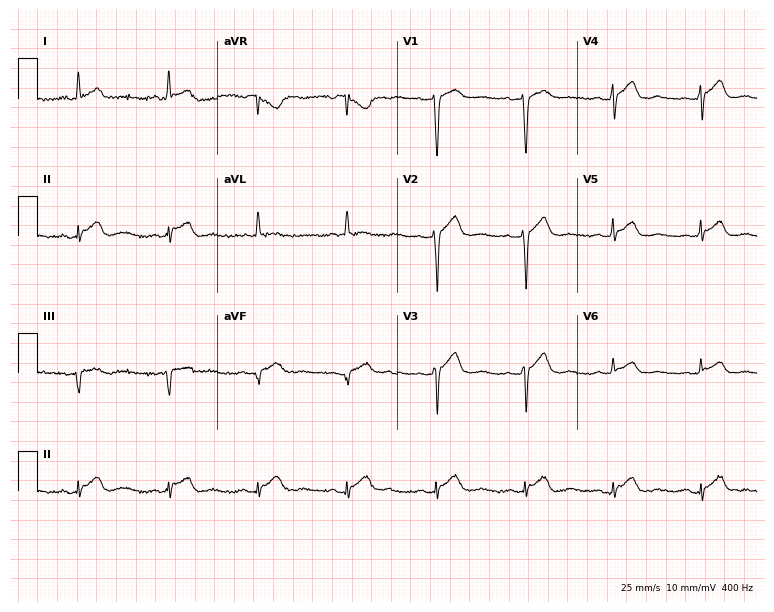
Electrocardiogram (7.3-second recording at 400 Hz), a female patient, 82 years old. Of the six screened findings (first-degree AV block, right bundle branch block (RBBB), left bundle branch block (LBBB), sinus bradycardia, atrial fibrillation (AF), sinus tachycardia), none is recorded. Only these six findings were labelled.